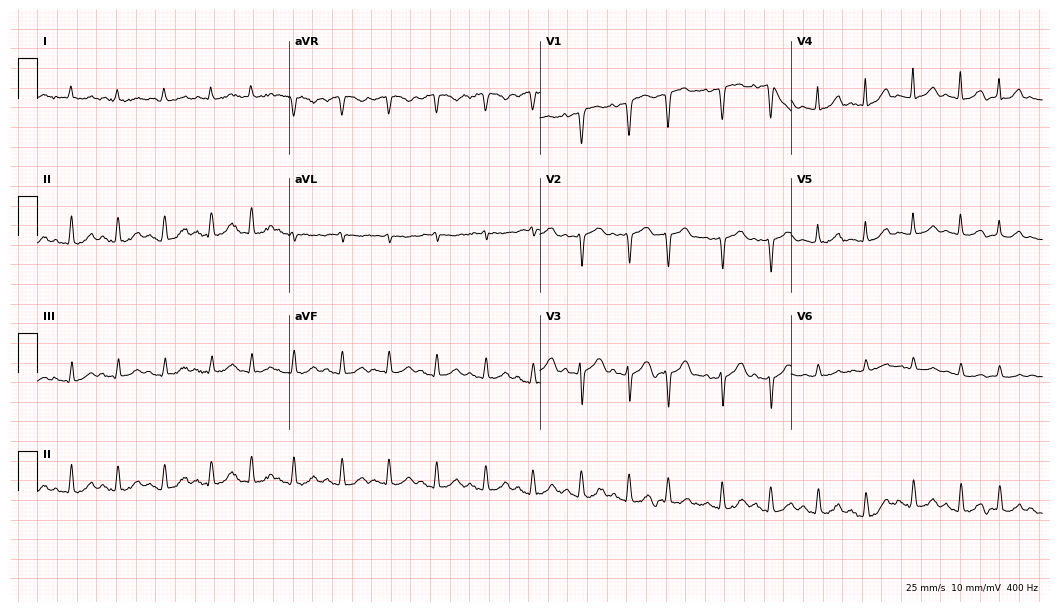
12-lead ECG from an 82-year-old female. Shows sinus tachycardia (a sinus rate of 100 beats per minute or more).